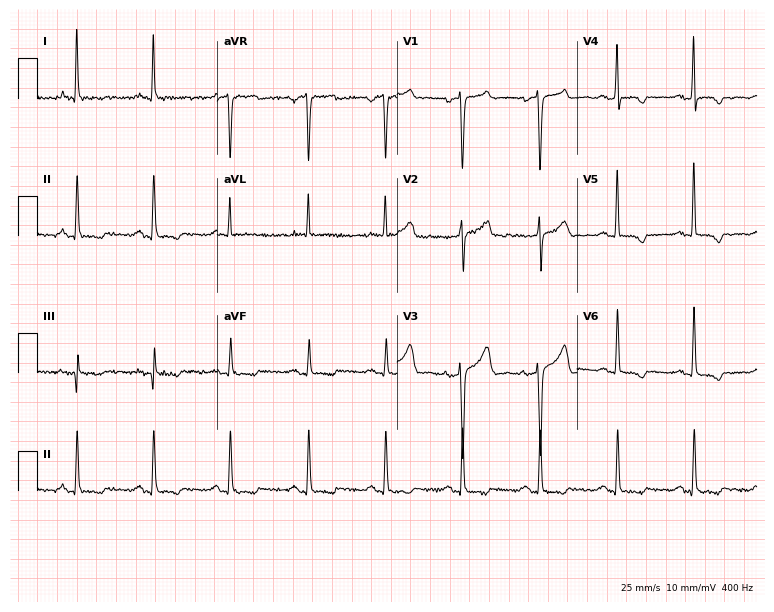
12-lead ECG (7.3-second recording at 400 Hz) from a female, 56 years old. Screened for six findings — first-degree AV block, right bundle branch block, left bundle branch block, sinus bradycardia, atrial fibrillation, sinus tachycardia — none is recorded.